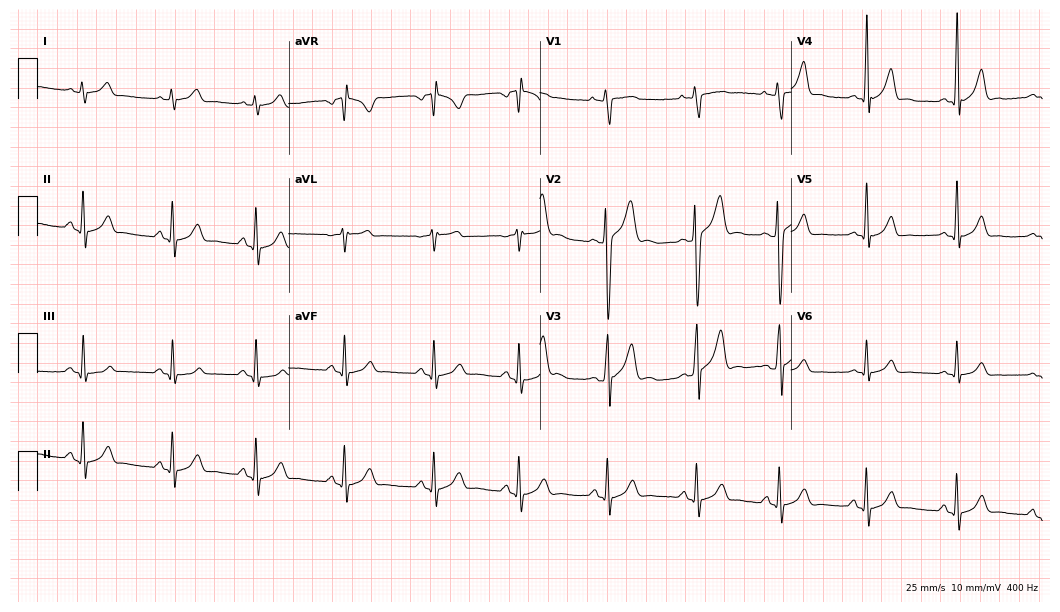
Resting 12-lead electrocardiogram (10.2-second recording at 400 Hz). Patient: a 17-year-old male. Read as a normal ECG.